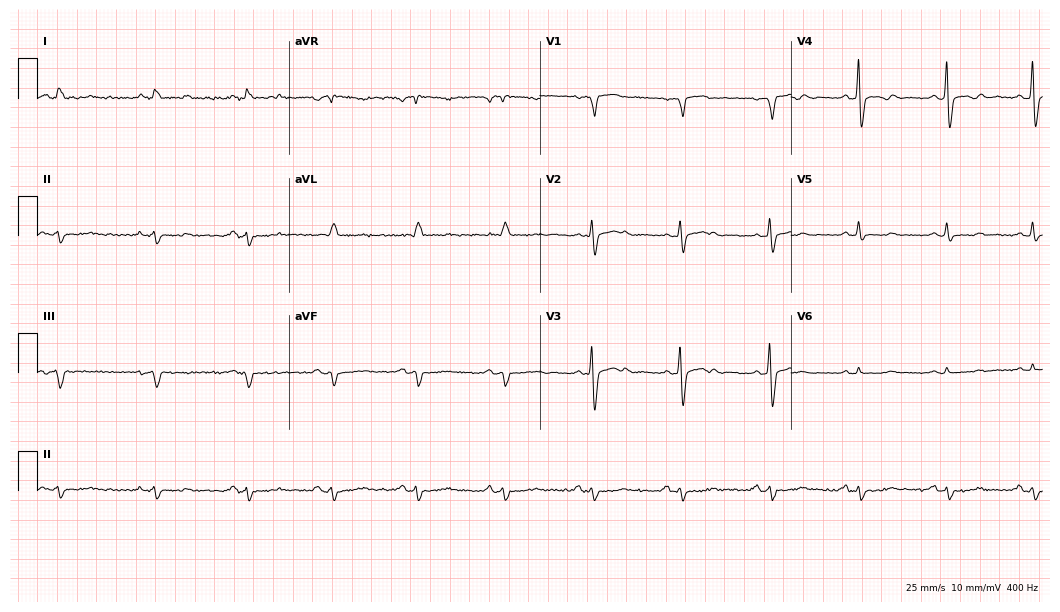
Resting 12-lead electrocardiogram (10.2-second recording at 400 Hz). Patient: a 70-year-old man. None of these six findings is recorded: first-degree AV block, right bundle branch block (RBBB), left bundle branch block (LBBB), sinus bradycardia, atrial fibrillation (AF), sinus tachycardia. Only these six findings were labelled.